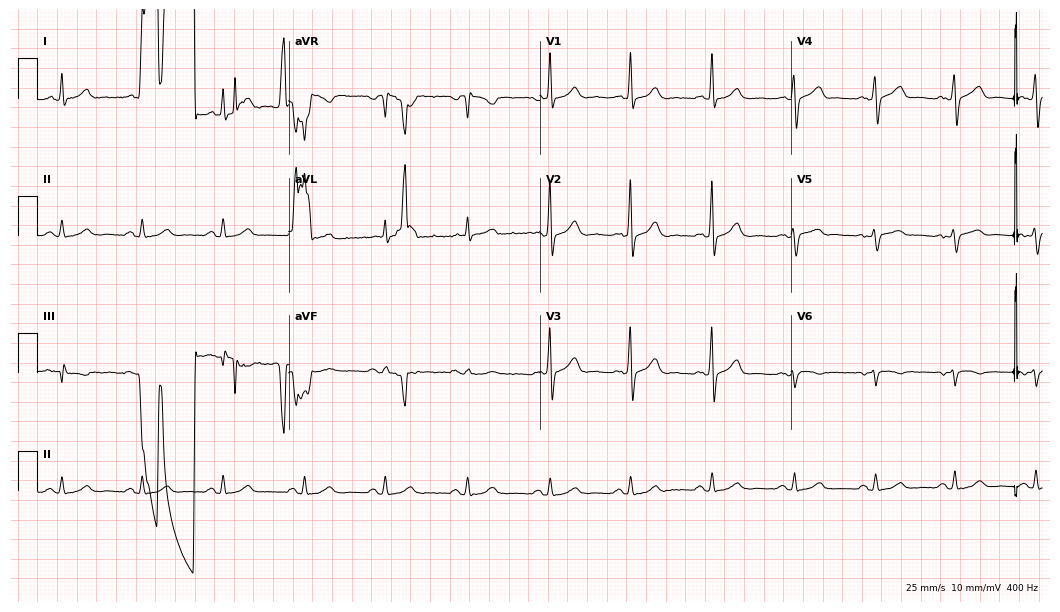
12-lead ECG (10.2-second recording at 400 Hz) from a 66-year-old man. Screened for six findings — first-degree AV block, right bundle branch block (RBBB), left bundle branch block (LBBB), sinus bradycardia, atrial fibrillation (AF), sinus tachycardia — none is recorded. Only these six findings were labelled.